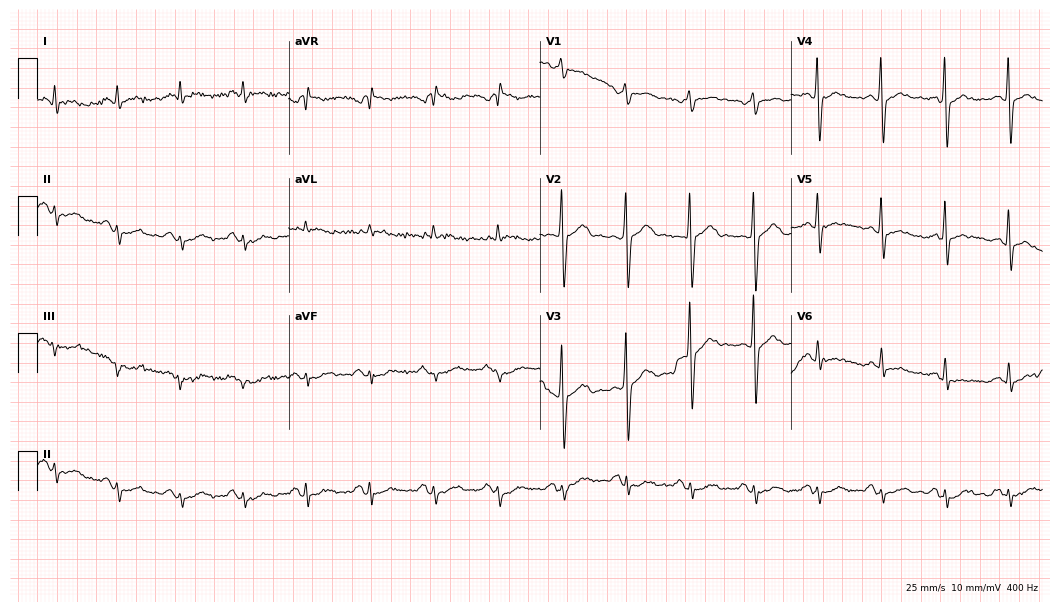
Standard 12-lead ECG recorded from a male patient, 63 years old (10.2-second recording at 400 Hz). None of these six findings is recorded: first-degree AV block, right bundle branch block, left bundle branch block, sinus bradycardia, atrial fibrillation, sinus tachycardia.